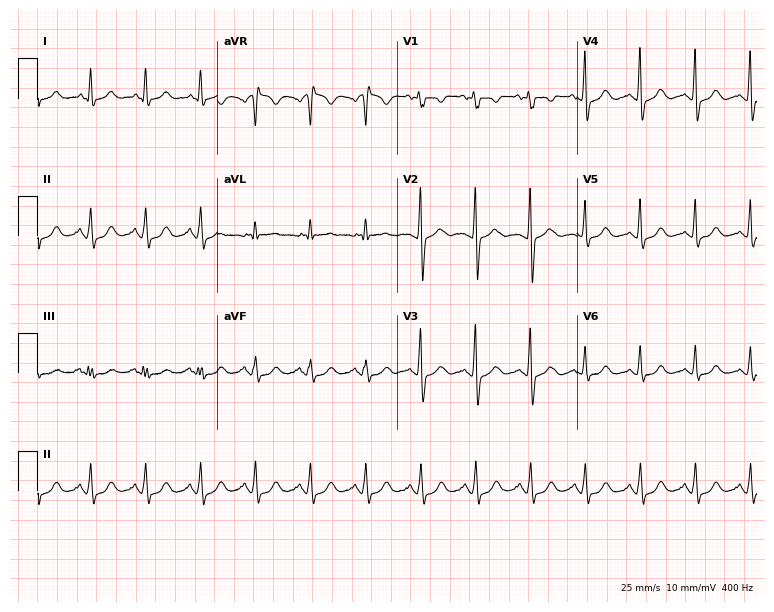
Standard 12-lead ECG recorded from a 53-year-old female patient (7.3-second recording at 400 Hz). None of these six findings is recorded: first-degree AV block, right bundle branch block (RBBB), left bundle branch block (LBBB), sinus bradycardia, atrial fibrillation (AF), sinus tachycardia.